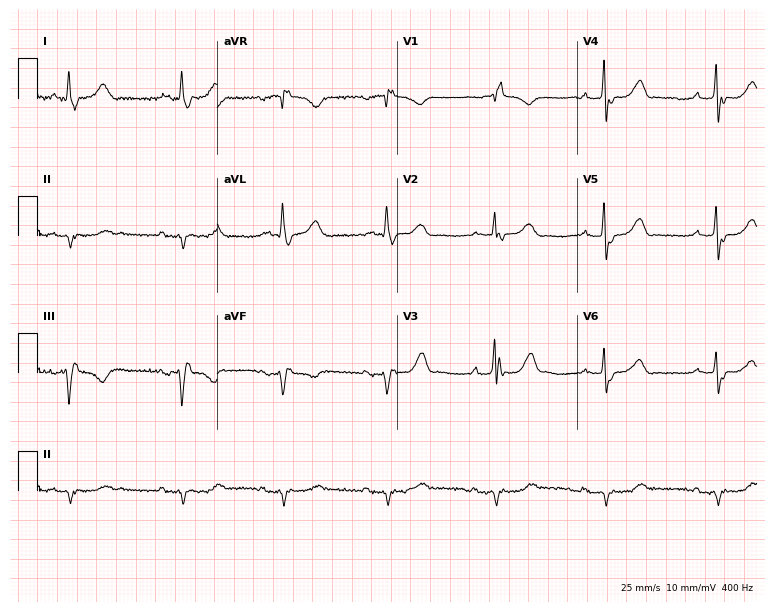
Electrocardiogram (7.3-second recording at 400 Hz), a male patient, 74 years old. Interpretation includes right bundle branch block.